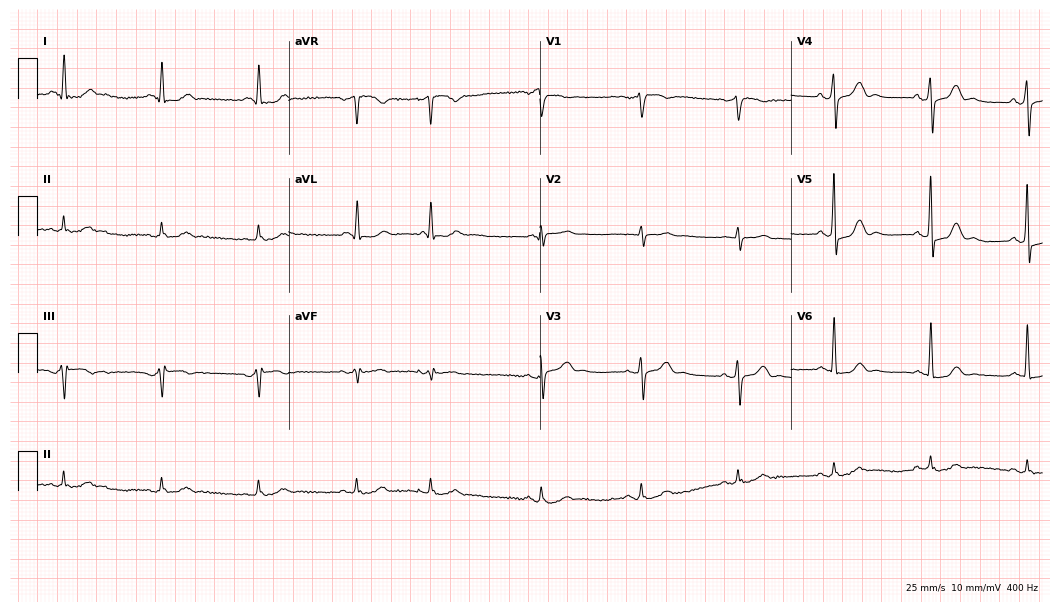
Resting 12-lead electrocardiogram. Patient: a 68-year-old male. None of these six findings is recorded: first-degree AV block, right bundle branch block, left bundle branch block, sinus bradycardia, atrial fibrillation, sinus tachycardia. Other findings, if any, are not listed.